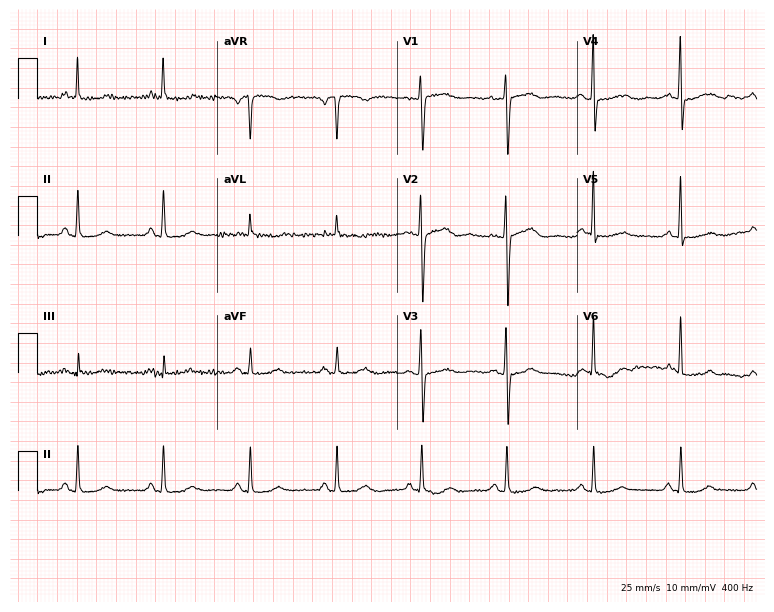
Electrocardiogram, a woman, 67 years old. Overall reading on record: normal ECG.